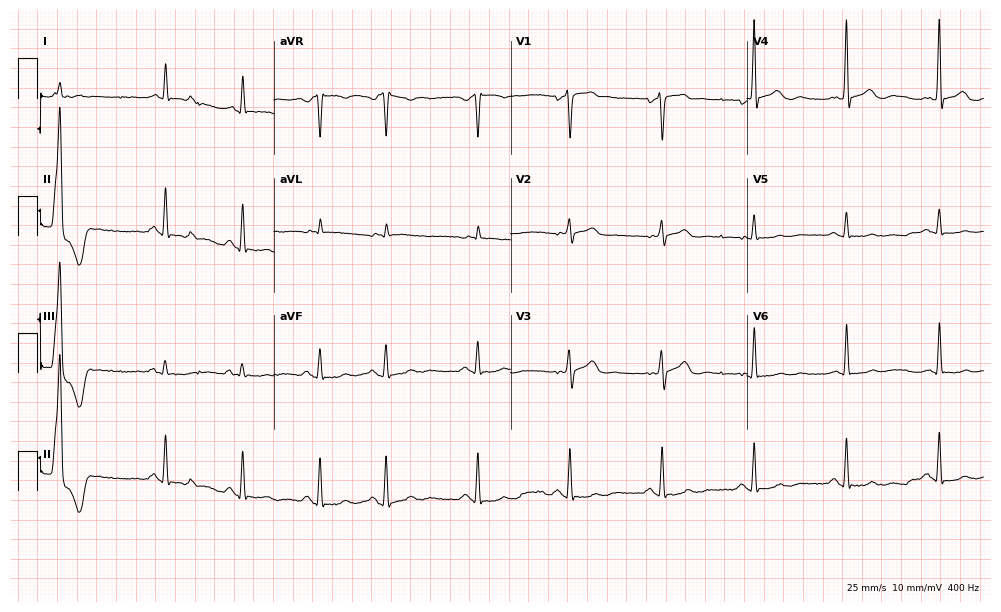
12-lead ECG from a male, 73 years old. Screened for six findings — first-degree AV block, right bundle branch block, left bundle branch block, sinus bradycardia, atrial fibrillation, sinus tachycardia — none is recorded. Other findings, if any, are not listed.